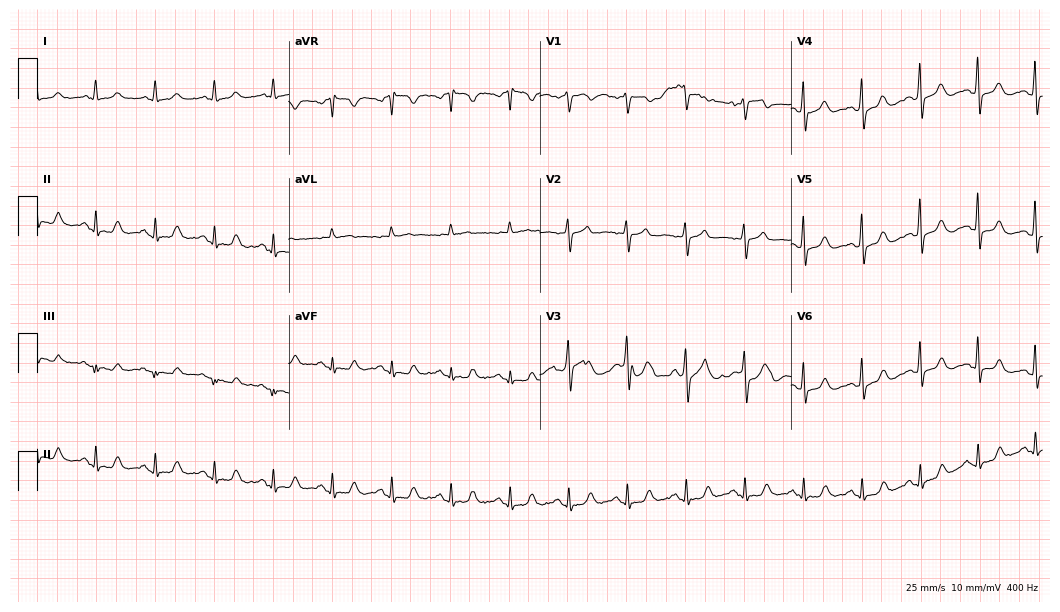
Electrocardiogram, a 52-year-old female patient. Overall reading on record: normal ECG.